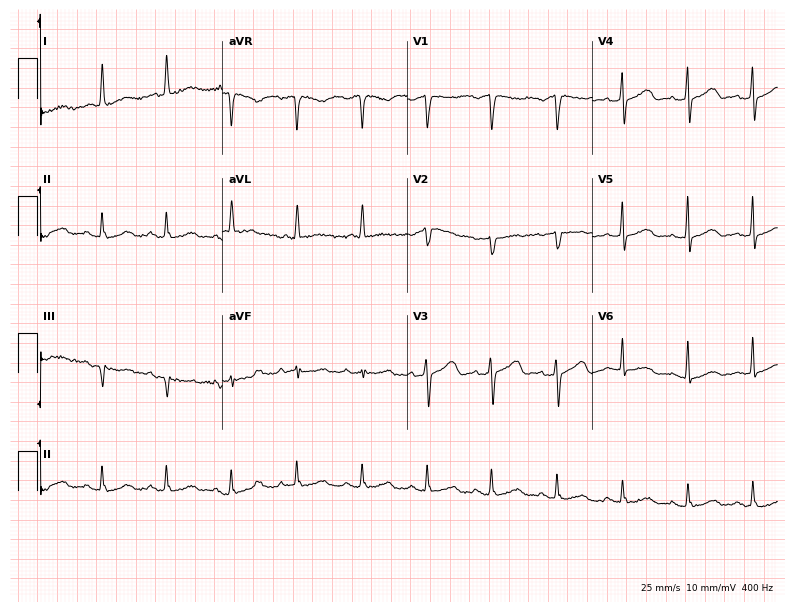
12-lead ECG from an 83-year-old woman. Labelled as a normal ECG.